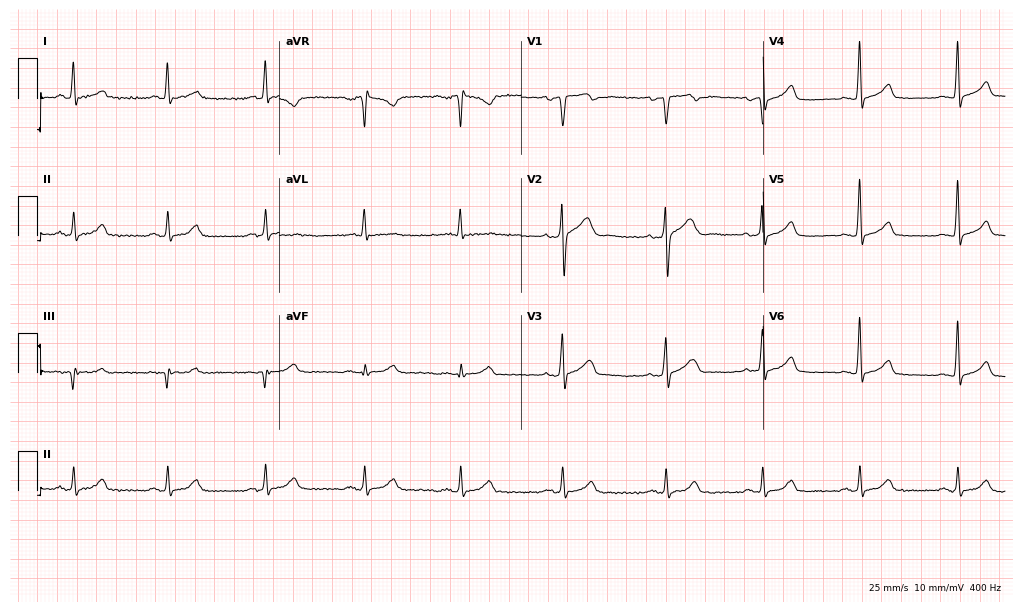
Standard 12-lead ECG recorded from a 44-year-old male patient. Read as a normal ECG.